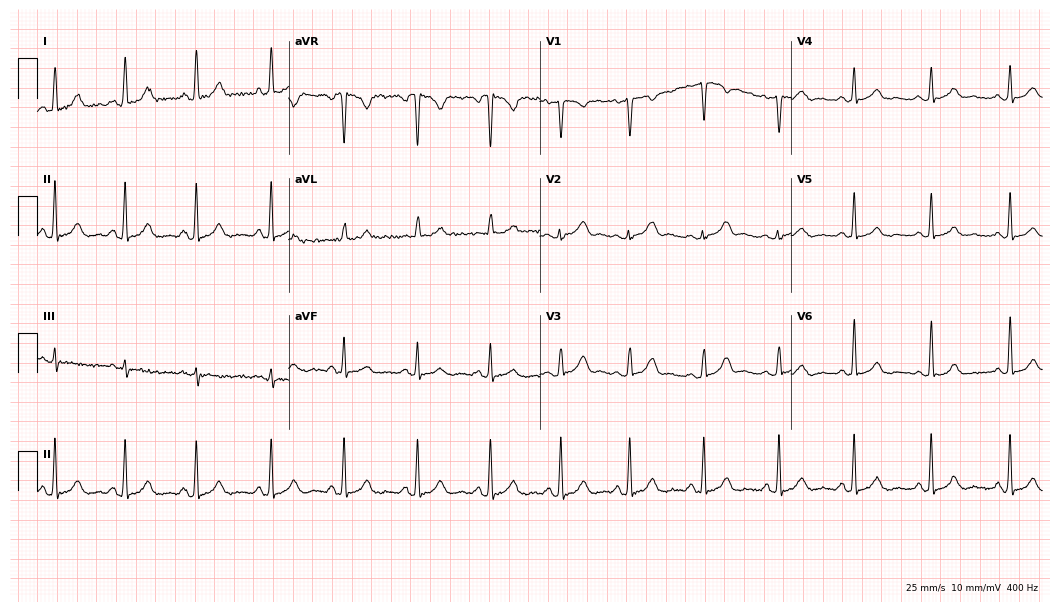
Resting 12-lead electrocardiogram (10.2-second recording at 400 Hz). Patient: a 42-year-old woman. Read as a normal ECG.